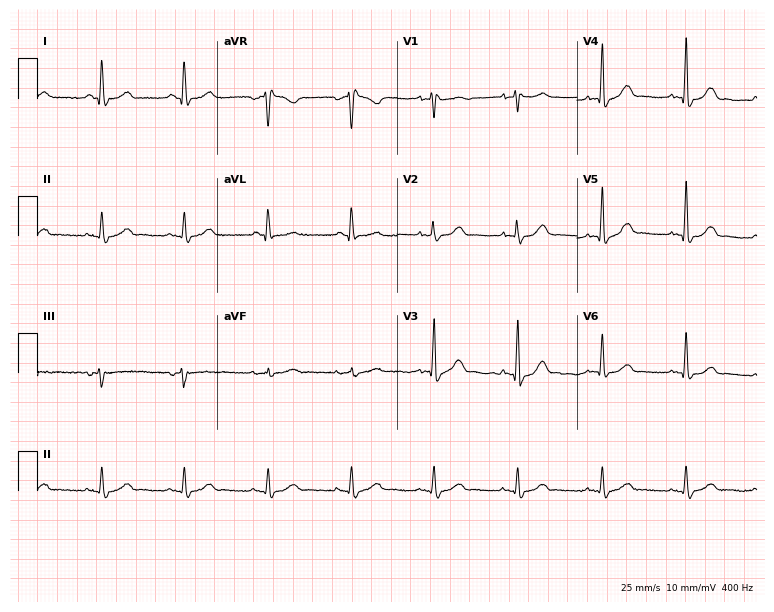
Electrocardiogram, a 70-year-old woman. Of the six screened findings (first-degree AV block, right bundle branch block, left bundle branch block, sinus bradycardia, atrial fibrillation, sinus tachycardia), none is recorded. Findings outside these six are not listed.